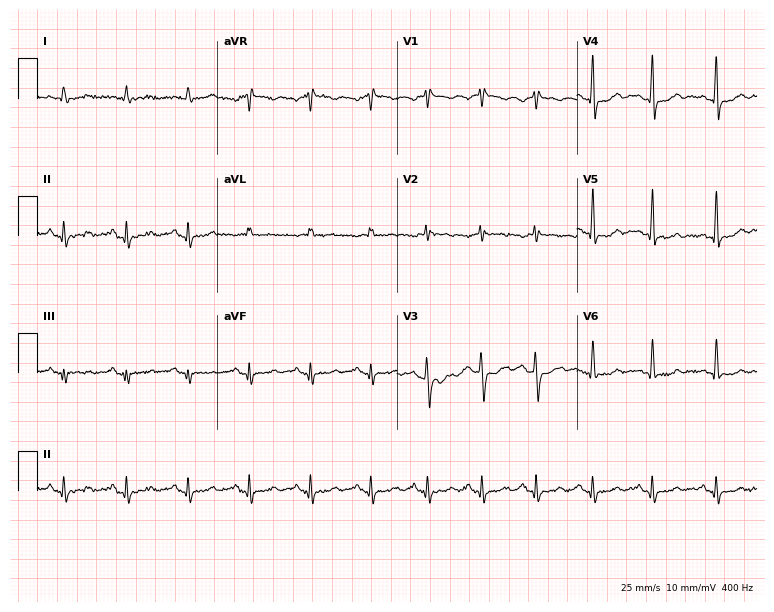
12-lead ECG from a 51-year-old man (7.3-second recording at 400 Hz). No first-degree AV block, right bundle branch block, left bundle branch block, sinus bradycardia, atrial fibrillation or sinus tachycardia recorded for this tracing.